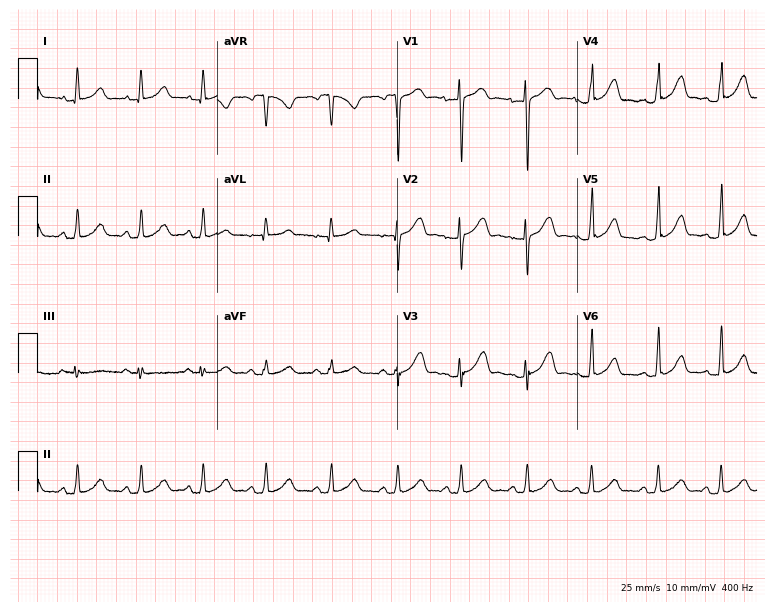
Electrocardiogram (7.3-second recording at 400 Hz), a 31-year-old female. Overall reading on record: normal ECG.